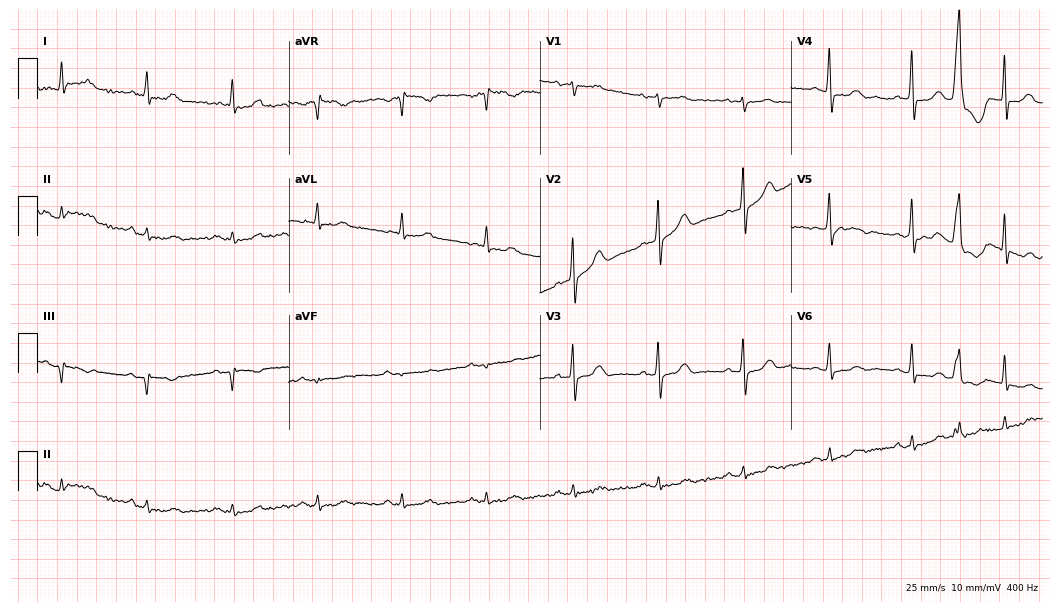
Resting 12-lead electrocardiogram (10.2-second recording at 400 Hz). Patient: a woman, 83 years old. None of these six findings is recorded: first-degree AV block, right bundle branch block, left bundle branch block, sinus bradycardia, atrial fibrillation, sinus tachycardia. Only these six findings were labelled.